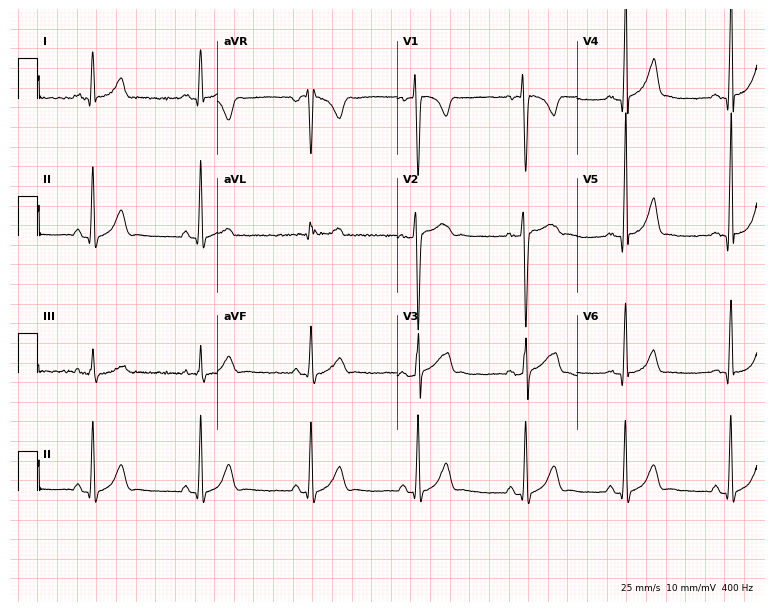
12-lead ECG from a 22-year-old male (7.3-second recording at 400 Hz). No first-degree AV block, right bundle branch block, left bundle branch block, sinus bradycardia, atrial fibrillation or sinus tachycardia recorded for this tracing.